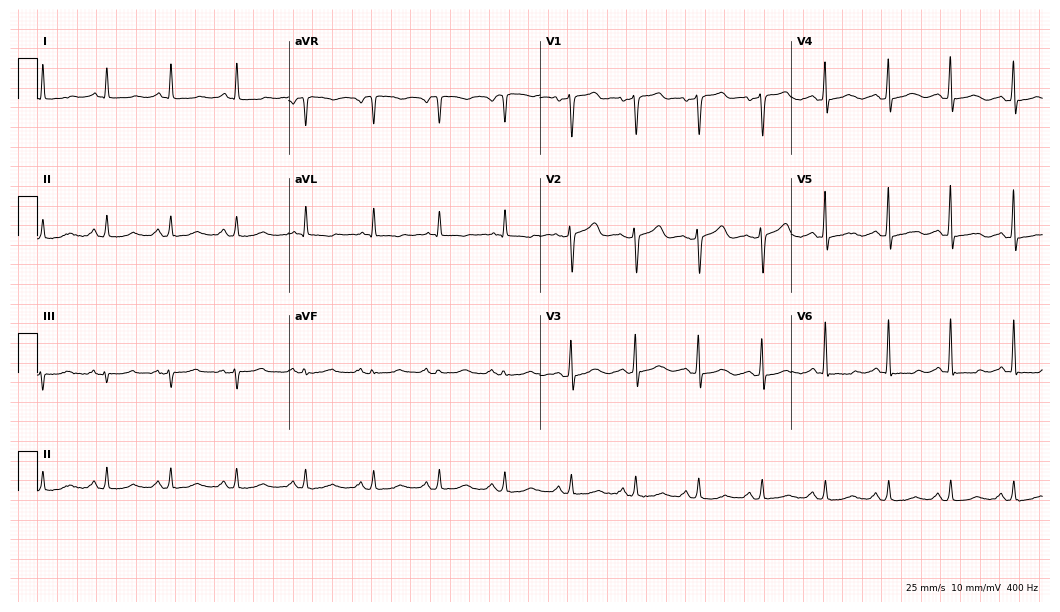
Standard 12-lead ECG recorded from a 61-year-old female patient. Read as a normal ECG.